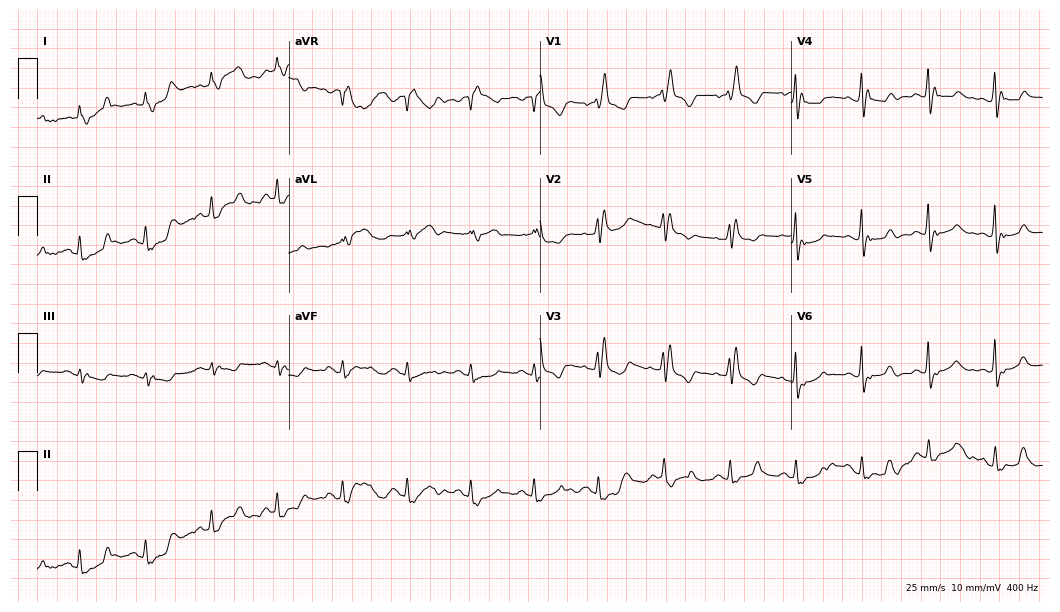
12-lead ECG from a 70-year-old female patient. Screened for six findings — first-degree AV block, right bundle branch block, left bundle branch block, sinus bradycardia, atrial fibrillation, sinus tachycardia — none is recorded. Only these six findings were labelled.